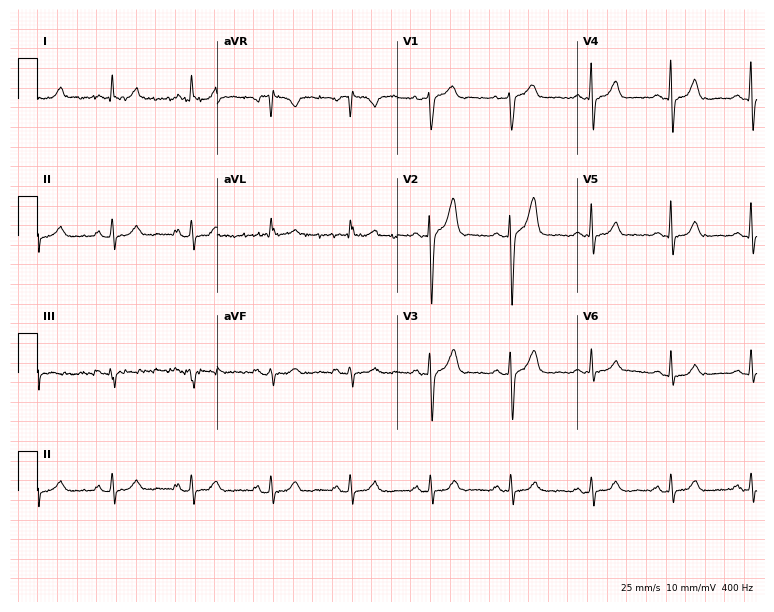
Standard 12-lead ECG recorded from a 73-year-old woman. Read as a normal ECG.